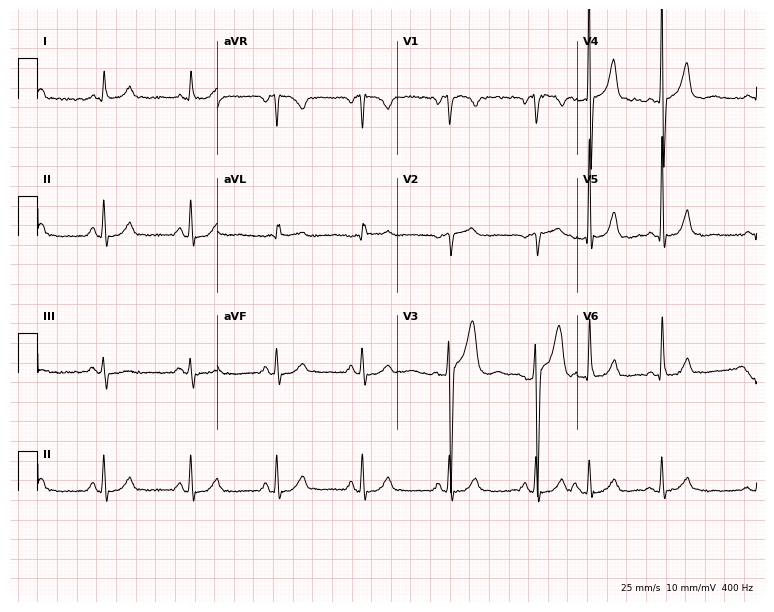
12-lead ECG from a 63-year-old man (7.3-second recording at 400 Hz). No first-degree AV block, right bundle branch block, left bundle branch block, sinus bradycardia, atrial fibrillation or sinus tachycardia recorded for this tracing. Only these six findings were labelled.